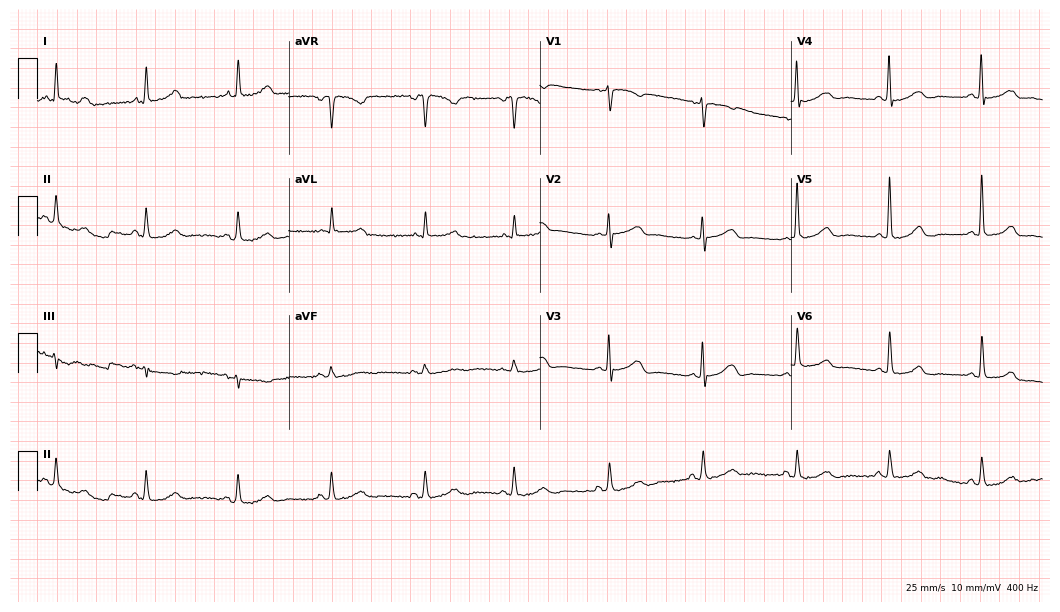
Standard 12-lead ECG recorded from a woman, 61 years old (10.2-second recording at 400 Hz). None of these six findings is recorded: first-degree AV block, right bundle branch block (RBBB), left bundle branch block (LBBB), sinus bradycardia, atrial fibrillation (AF), sinus tachycardia. Only these six findings were labelled.